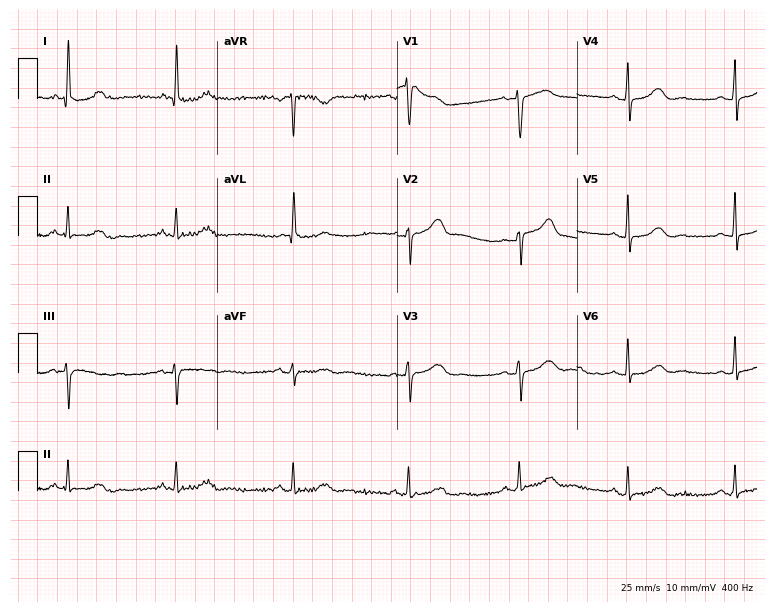
Standard 12-lead ECG recorded from a 68-year-old woman (7.3-second recording at 400 Hz). Read as a normal ECG.